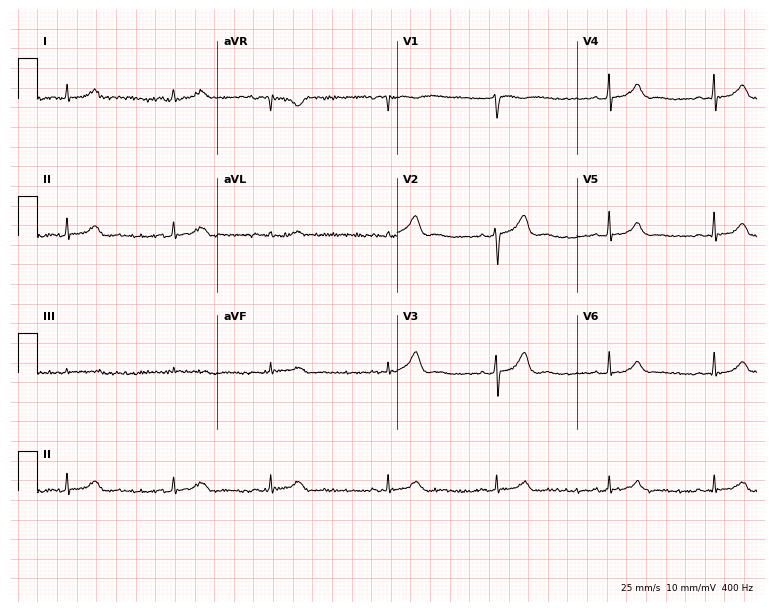
Electrocardiogram (7.3-second recording at 400 Hz), a female, 41 years old. Of the six screened findings (first-degree AV block, right bundle branch block, left bundle branch block, sinus bradycardia, atrial fibrillation, sinus tachycardia), none is recorded. Only these six findings were labelled.